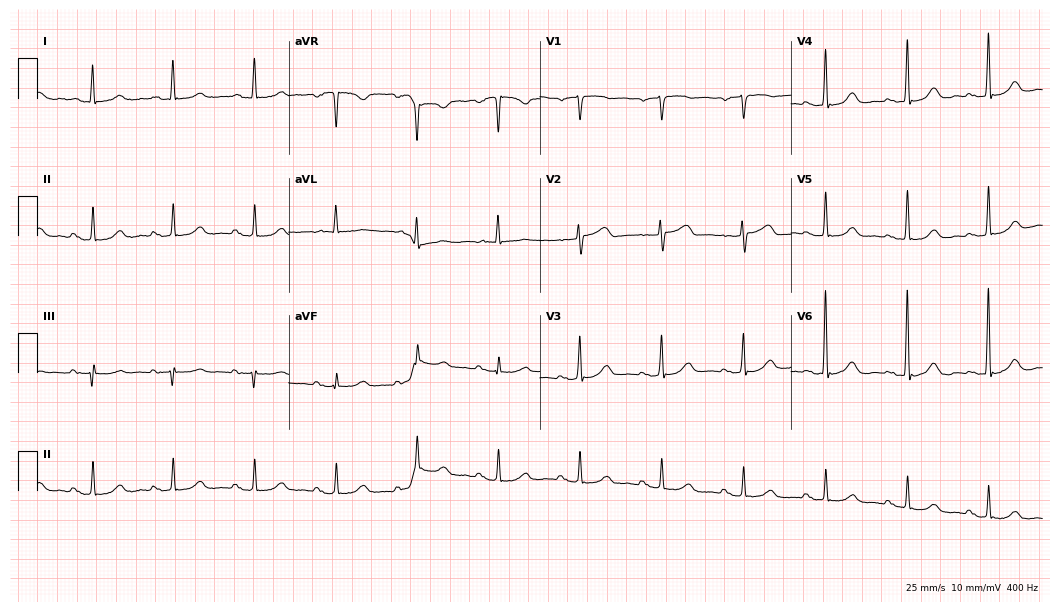
12-lead ECG from a 69-year-old female patient. Labelled as a normal ECG.